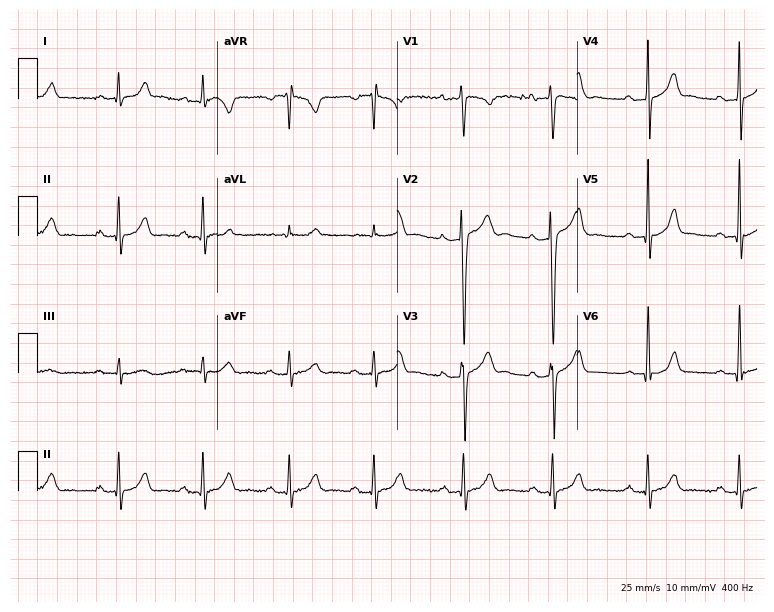
12-lead ECG from a male patient, 25 years old (7.3-second recording at 400 Hz). Recorded interpretation: within normal limits.